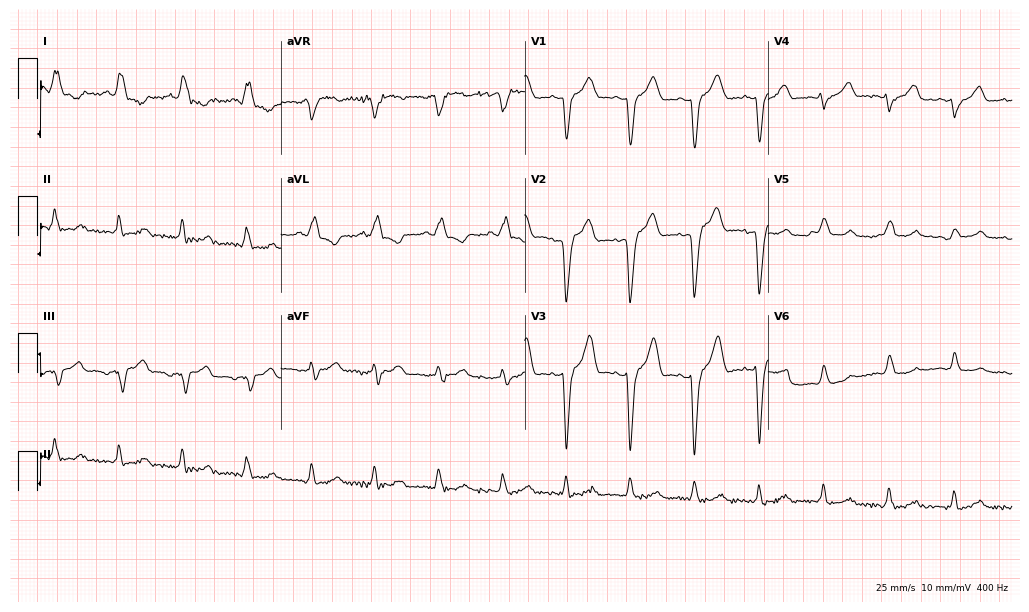
12-lead ECG from an 84-year-old woman. Shows left bundle branch block.